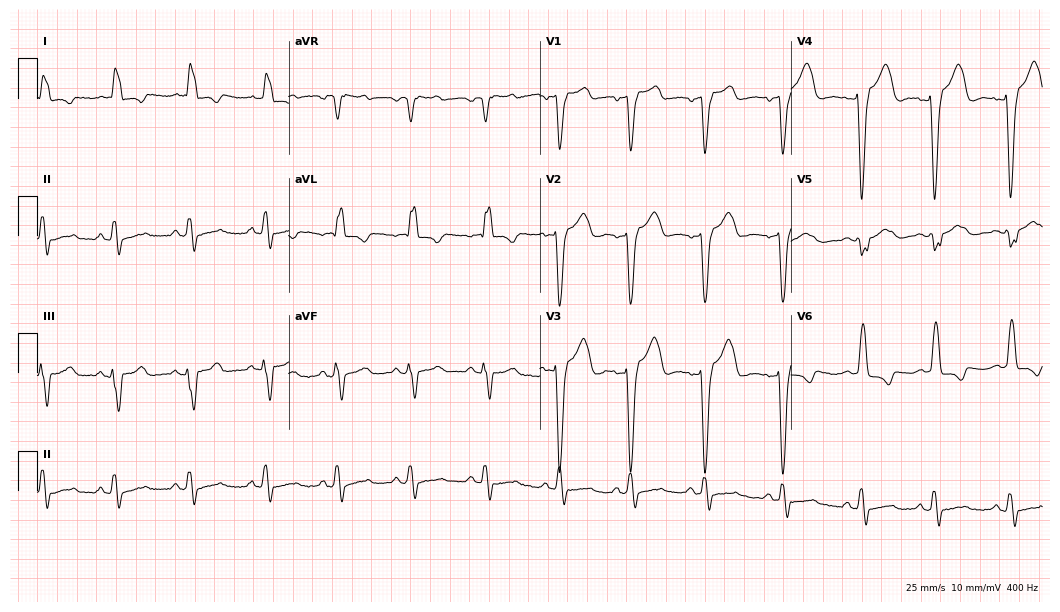
Standard 12-lead ECG recorded from a 66-year-old female. The tracing shows left bundle branch block.